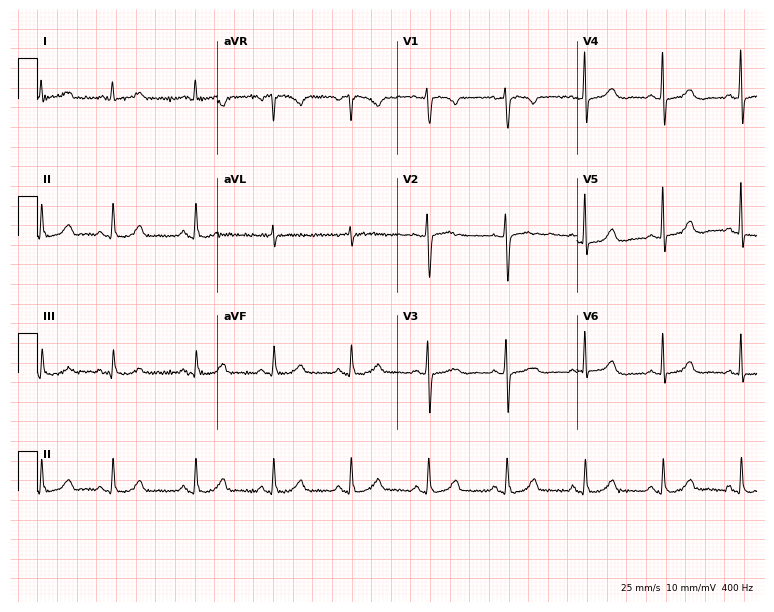
Resting 12-lead electrocardiogram (7.3-second recording at 400 Hz). Patient: a 74-year-old female. None of these six findings is recorded: first-degree AV block, right bundle branch block, left bundle branch block, sinus bradycardia, atrial fibrillation, sinus tachycardia. Only these six findings were labelled.